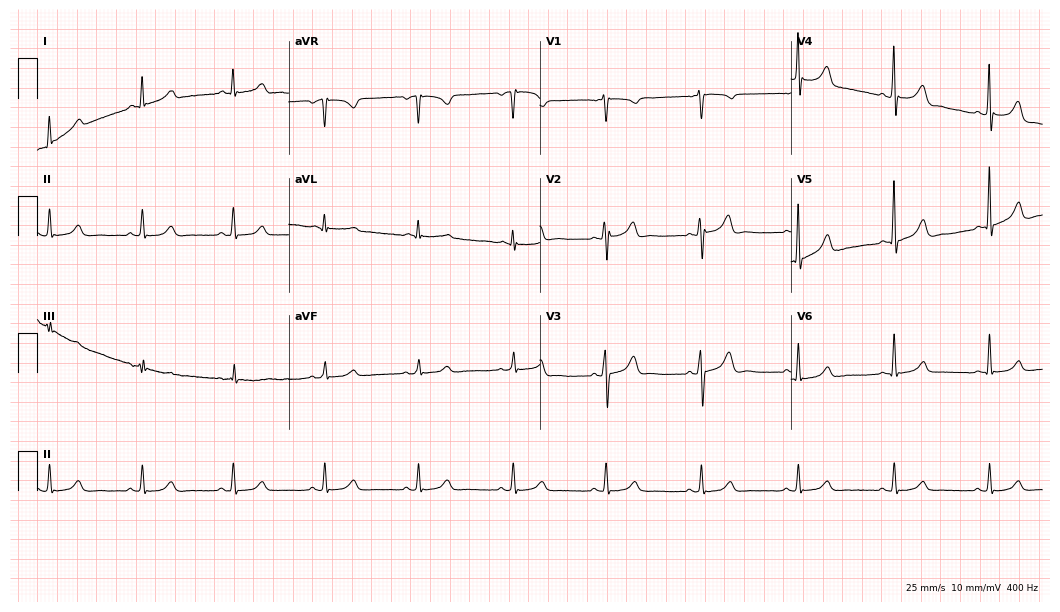
12-lead ECG from a man, 50 years old (10.2-second recording at 400 Hz). Recorded interpretation: within normal limits.